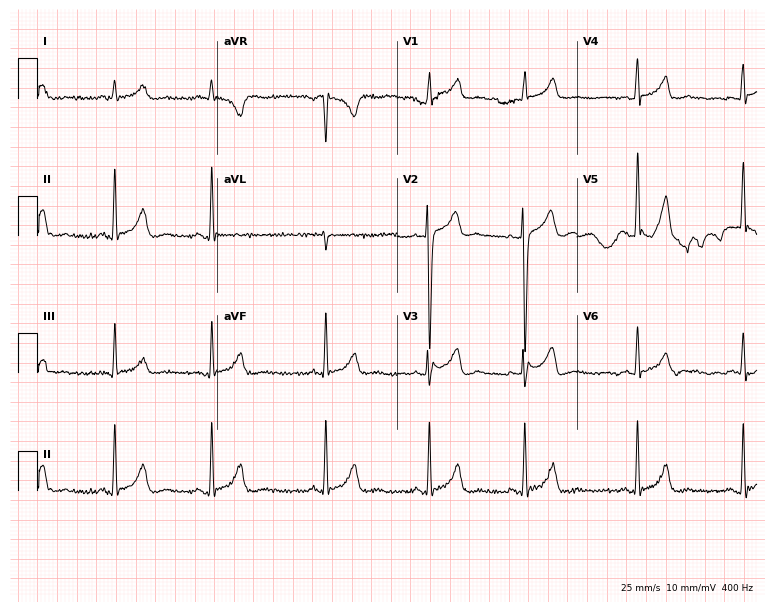
ECG — a man, 21 years old. Screened for six findings — first-degree AV block, right bundle branch block (RBBB), left bundle branch block (LBBB), sinus bradycardia, atrial fibrillation (AF), sinus tachycardia — none is recorded. Only these six findings were labelled.